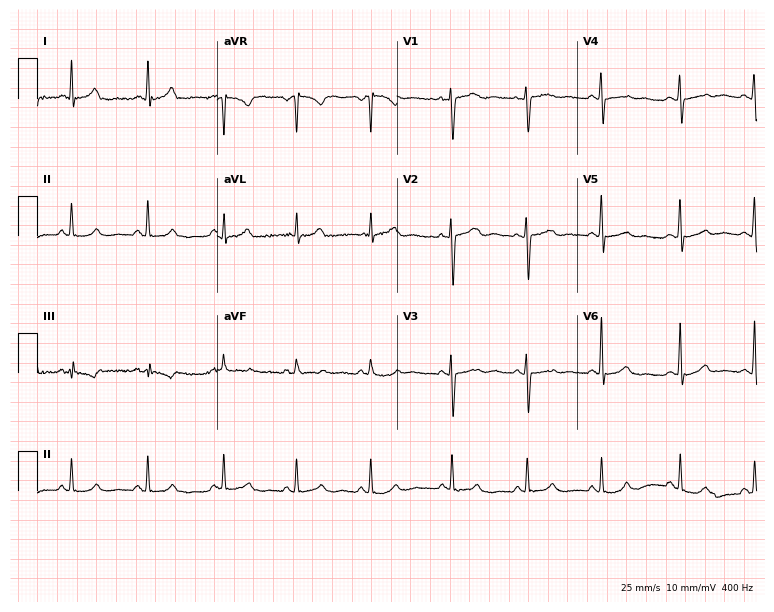
Standard 12-lead ECG recorded from a 41-year-old woman (7.3-second recording at 400 Hz). None of these six findings is recorded: first-degree AV block, right bundle branch block (RBBB), left bundle branch block (LBBB), sinus bradycardia, atrial fibrillation (AF), sinus tachycardia.